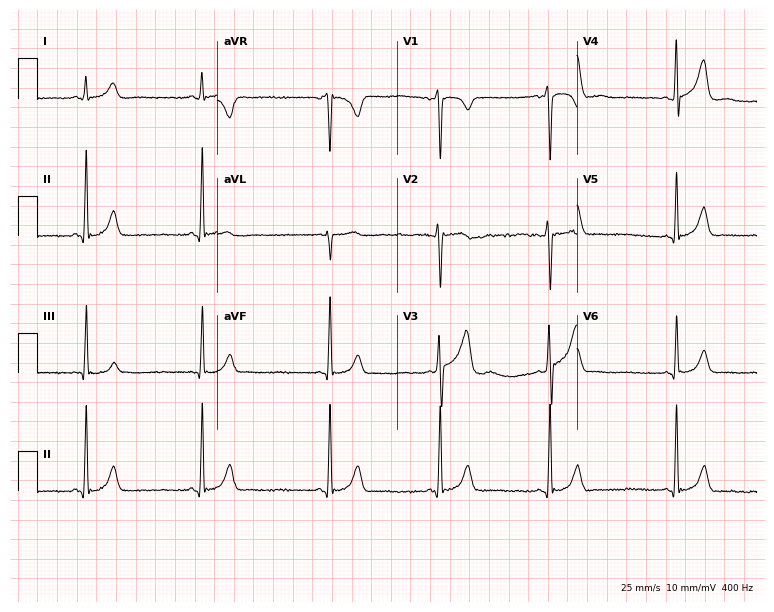
Electrocardiogram, a man, 21 years old. Of the six screened findings (first-degree AV block, right bundle branch block, left bundle branch block, sinus bradycardia, atrial fibrillation, sinus tachycardia), none is recorded. Findings outside these six are not listed.